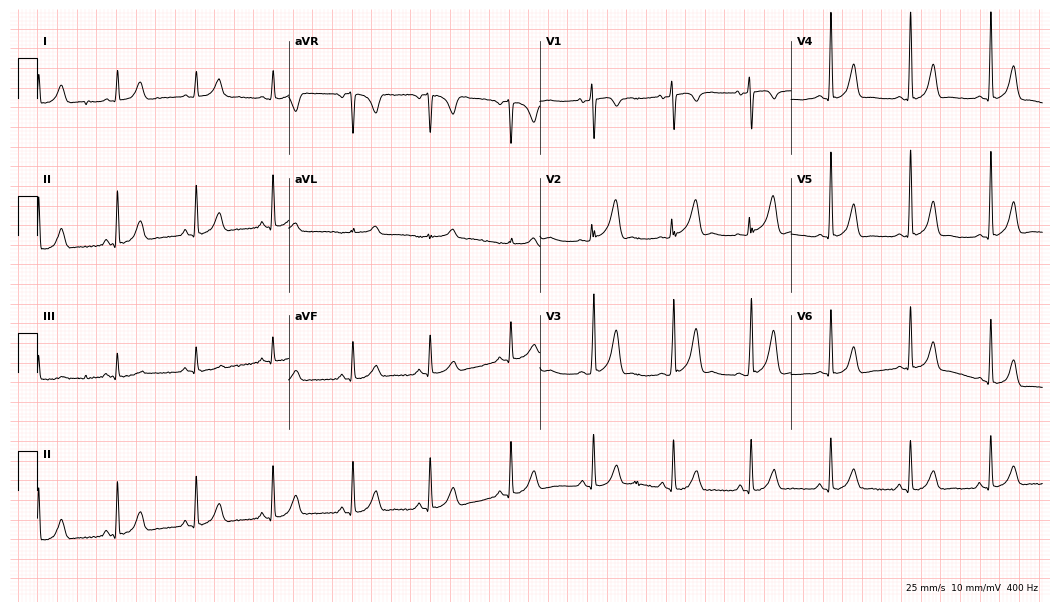
ECG (10.2-second recording at 400 Hz) — a female patient, 18 years old. Screened for six findings — first-degree AV block, right bundle branch block, left bundle branch block, sinus bradycardia, atrial fibrillation, sinus tachycardia — none is recorded.